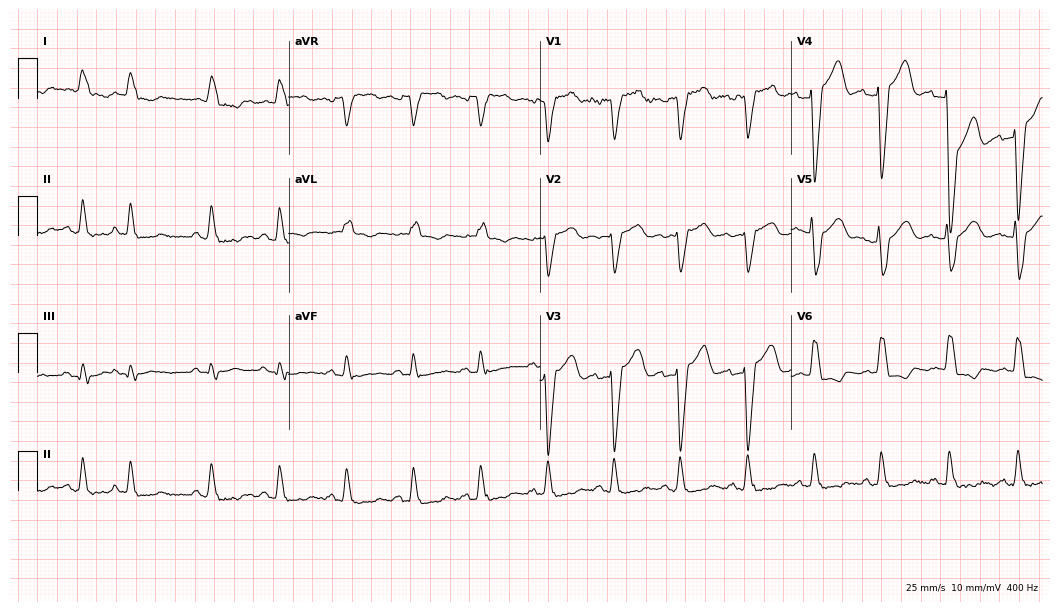
Resting 12-lead electrocardiogram. Patient: a female, 85 years old. The tracing shows left bundle branch block (LBBB).